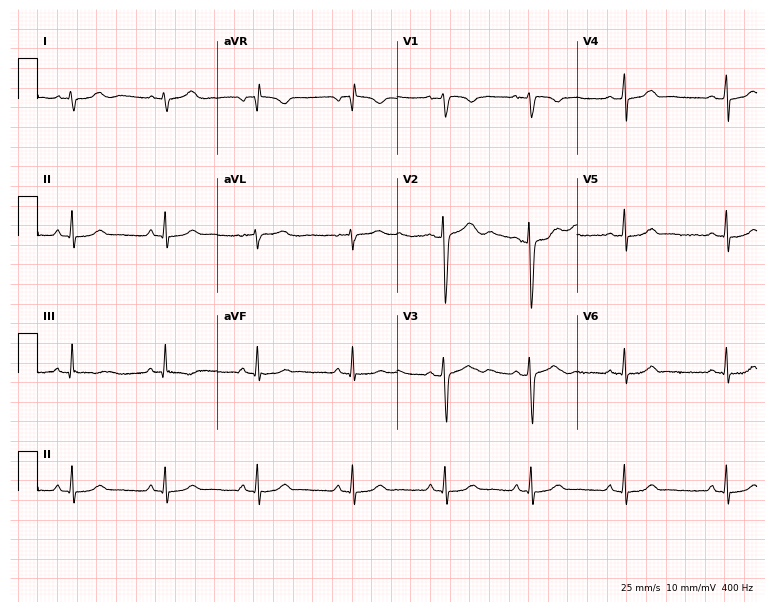
Standard 12-lead ECG recorded from a 27-year-old female patient (7.3-second recording at 400 Hz). Read as a normal ECG.